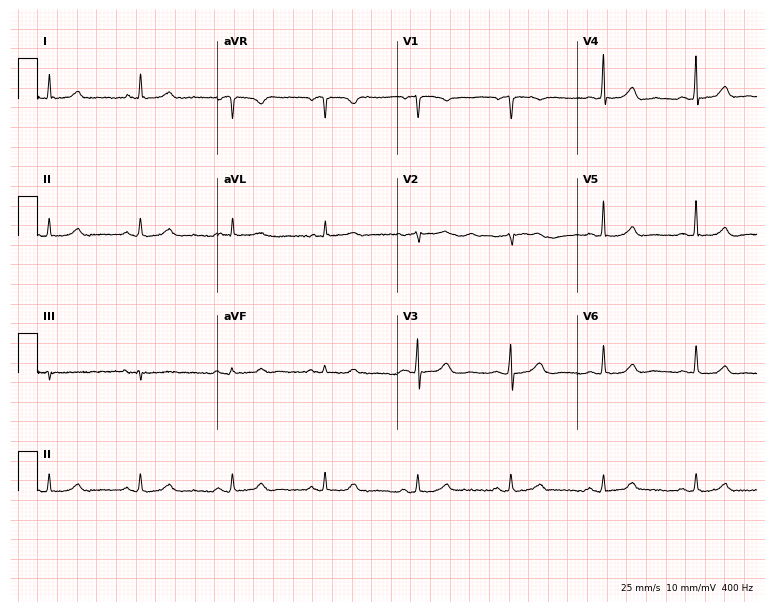
12-lead ECG from an 80-year-old woman. Recorded interpretation: within normal limits.